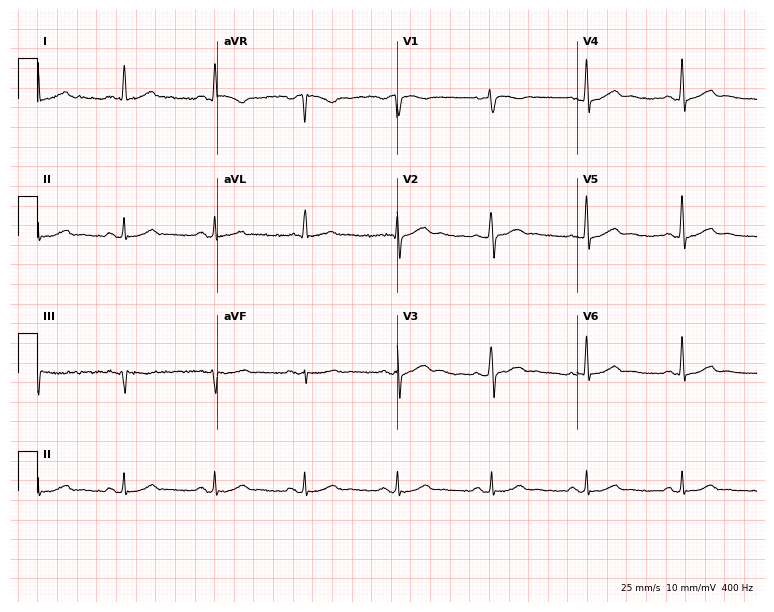
Standard 12-lead ECG recorded from a 44-year-old male. None of these six findings is recorded: first-degree AV block, right bundle branch block (RBBB), left bundle branch block (LBBB), sinus bradycardia, atrial fibrillation (AF), sinus tachycardia. Findings outside these six are not listed.